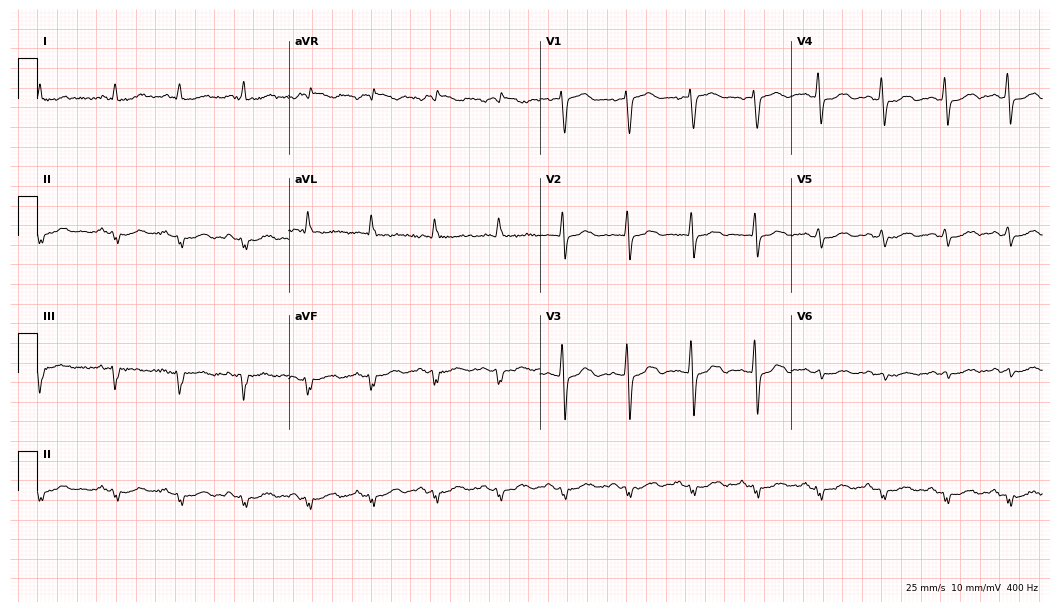
12-lead ECG from an 80-year-old female patient. Screened for six findings — first-degree AV block, right bundle branch block (RBBB), left bundle branch block (LBBB), sinus bradycardia, atrial fibrillation (AF), sinus tachycardia — none is recorded.